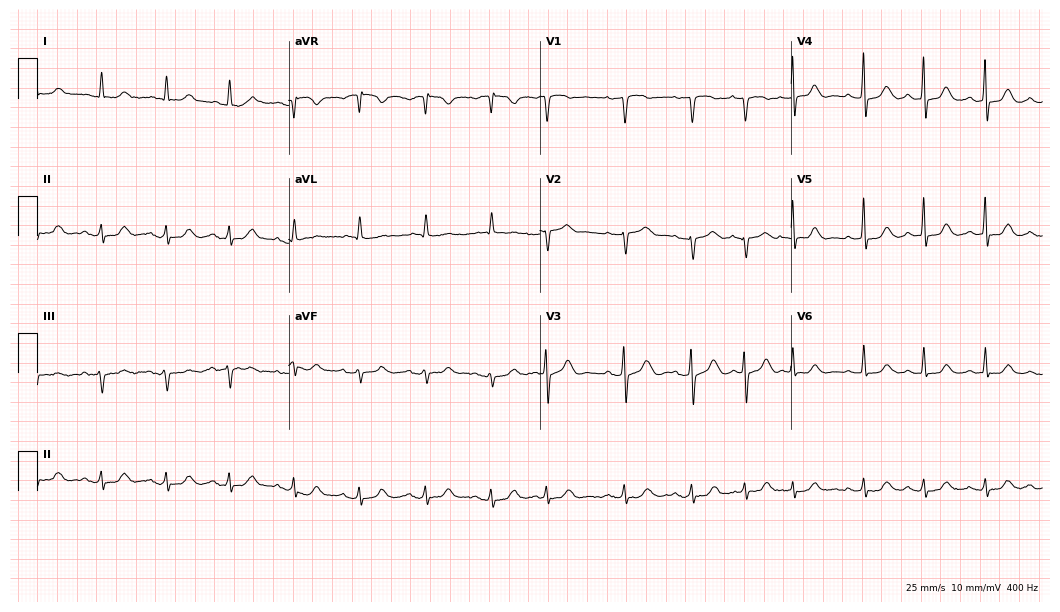
Electrocardiogram, a 74-year-old male patient. Overall reading on record: normal ECG.